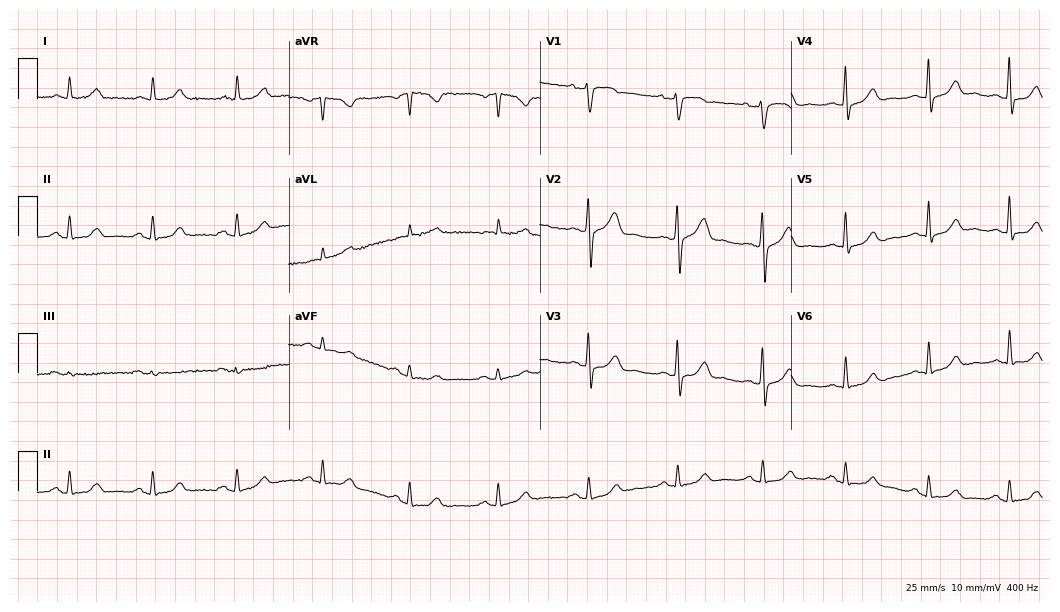
12-lead ECG from a 50-year-old male. Recorded interpretation: within normal limits.